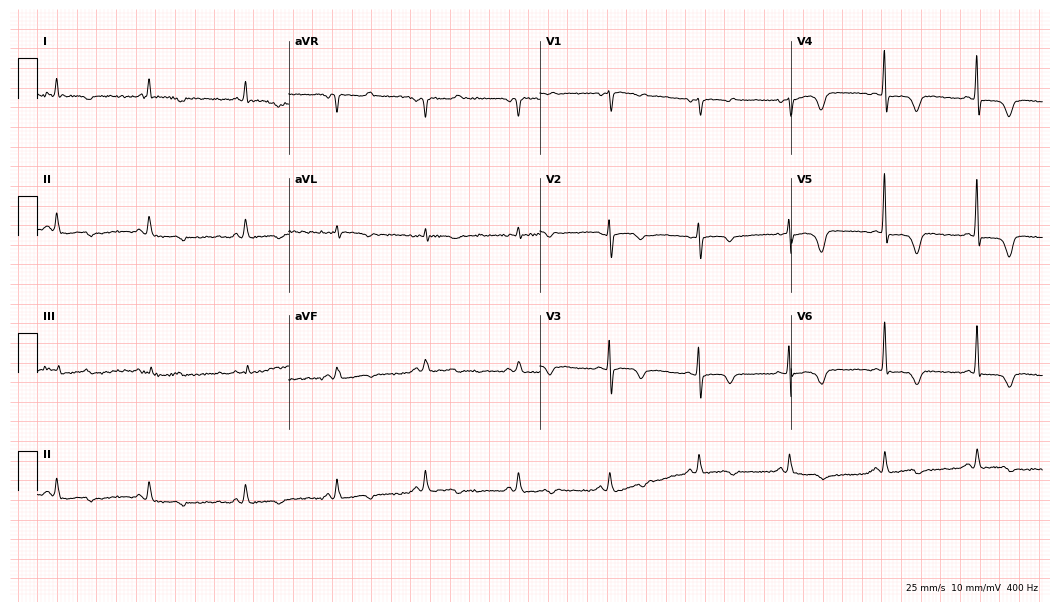
Electrocardiogram (10.2-second recording at 400 Hz), a woman, 82 years old. Of the six screened findings (first-degree AV block, right bundle branch block, left bundle branch block, sinus bradycardia, atrial fibrillation, sinus tachycardia), none is recorded. Only these six findings were labelled.